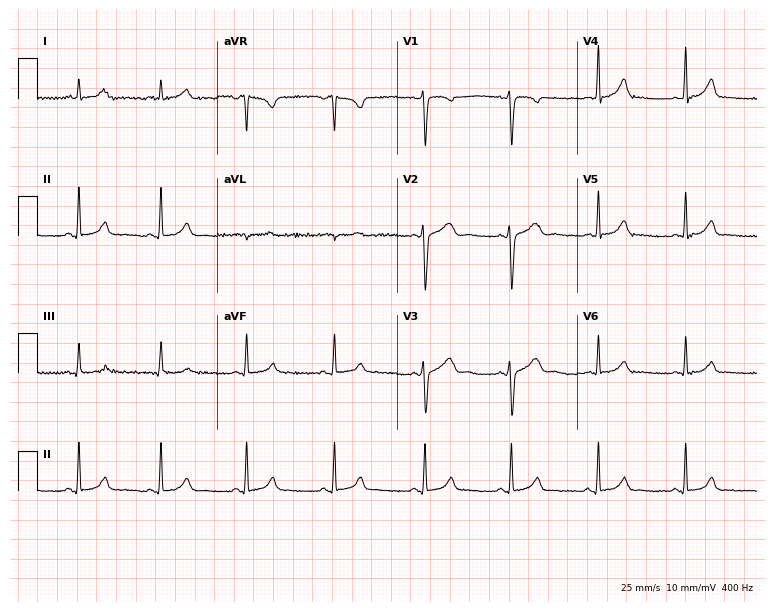
Resting 12-lead electrocardiogram. Patient: a 17-year-old female. Read as a normal ECG.